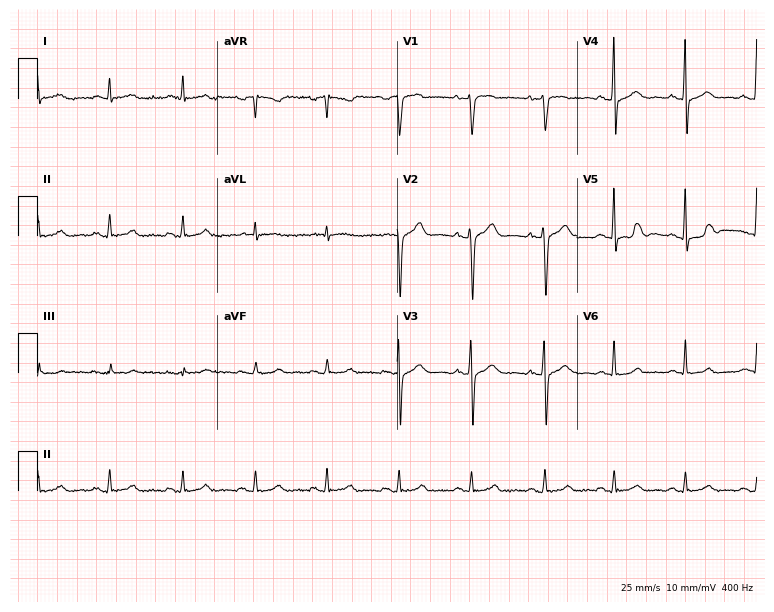
12-lead ECG from a male patient, 49 years old (7.3-second recording at 400 Hz). Recorded interpretation: within normal limits.